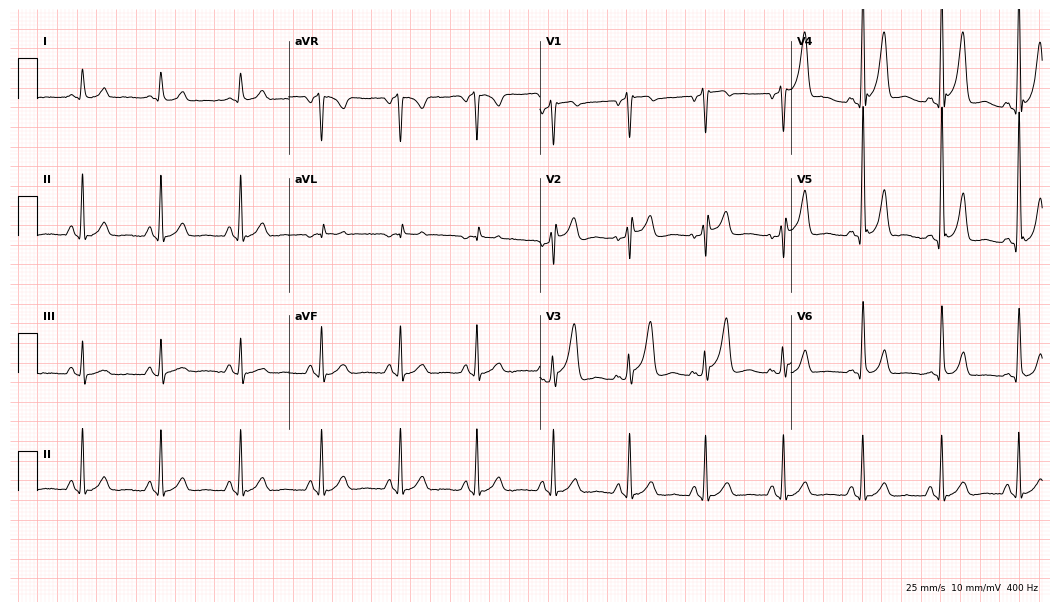
12-lead ECG (10.2-second recording at 400 Hz) from a 54-year-old male patient. Screened for six findings — first-degree AV block, right bundle branch block (RBBB), left bundle branch block (LBBB), sinus bradycardia, atrial fibrillation (AF), sinus tachycardia — none is recorded. Only these six findings were labelled.